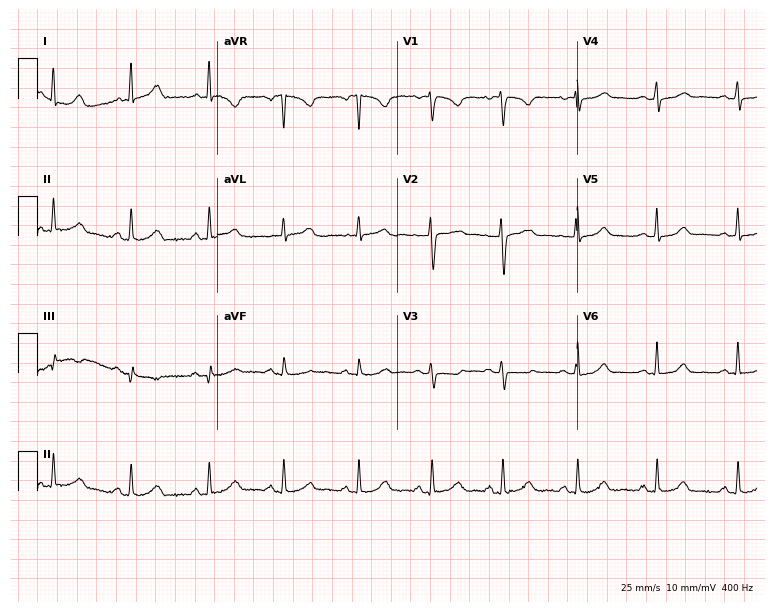
ECG — a 39-year-old female patient. Labelled as a normal ECG.